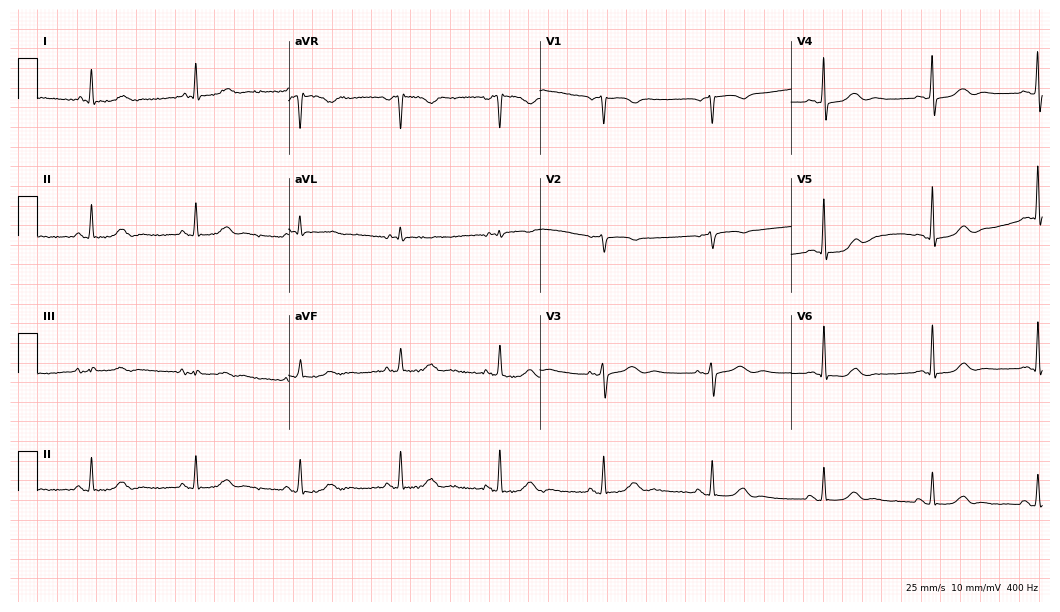
Electrocardiogram, a woman, 71 years old. Overall reading on record: normal ECG.